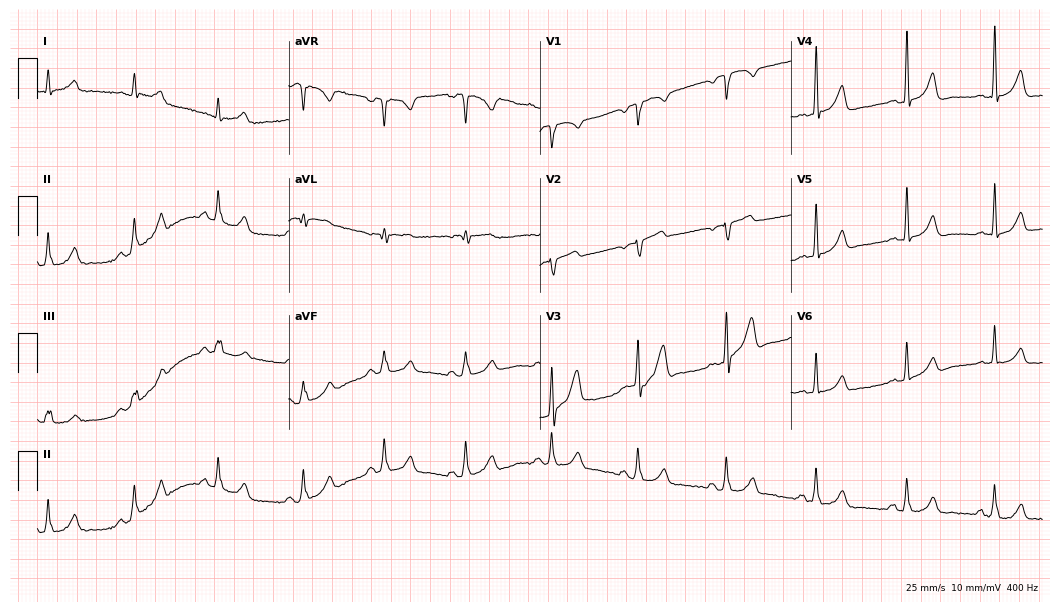
Standard 12-lead ECG recorded from a 66-year-old male (10.2-second recording at 400 Hz). Read as a normal ECG.